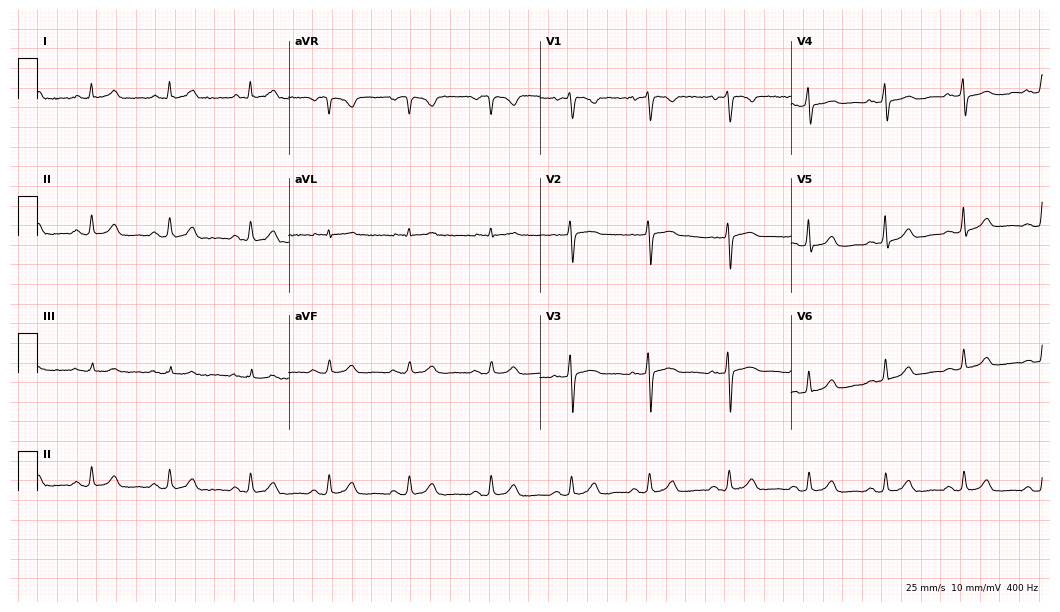
Standard 12-lead ECG recorded from a female patient, 44 years old (10.2-second recording at 400 Hz). None of these six findings is recorded: first-degree AV block, right bundle branch block (RBBB), left bundle branch block (LBBB), sinus bradycardia, atrial fibrillation (AF), sinus tachycardia. Findings outside these six are not listed.